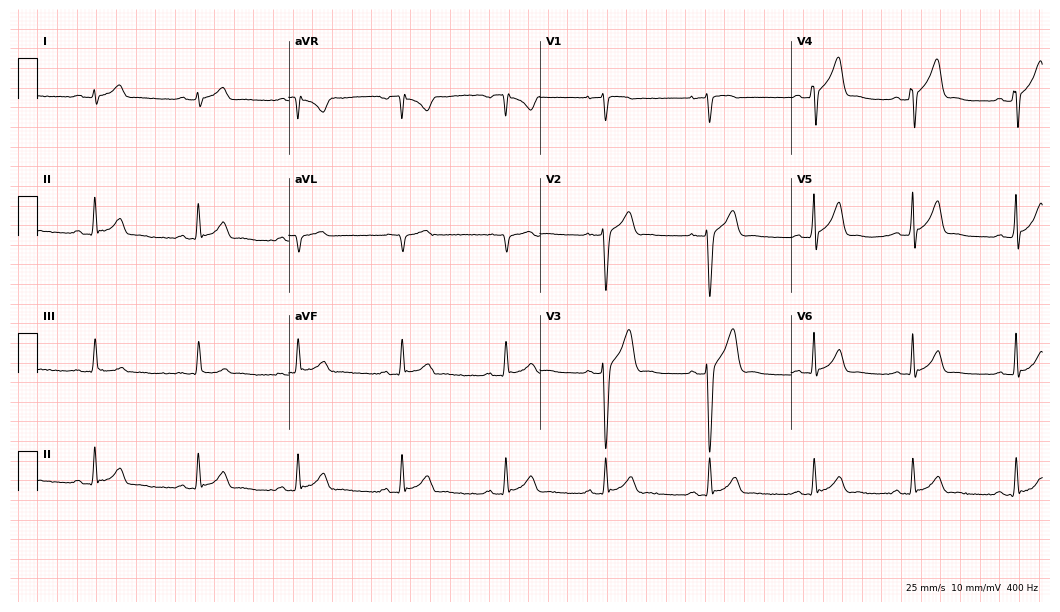
Electrocardiogram (10.2-second recording at 400 Hz), a 29-year-old male patient. Overall reading on record: normal ECG.